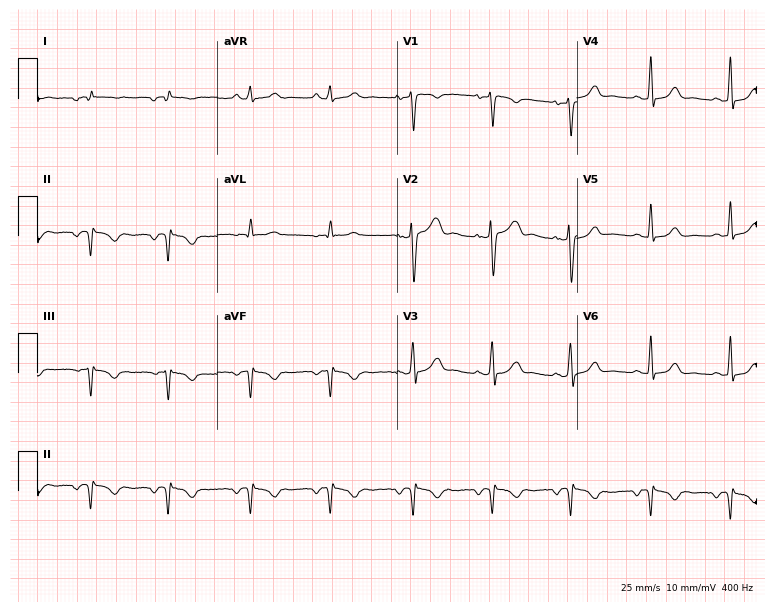
12-lead ECG from a 40-year-old female (7.3-second recording at 400 Hz). No first-degree AV block, right bundle branch block, left bundle branch block, sinus bradycardia, atrial fibrillation or sinus tachycardia recorded for this tracing. Other findings, if any, are not listed.